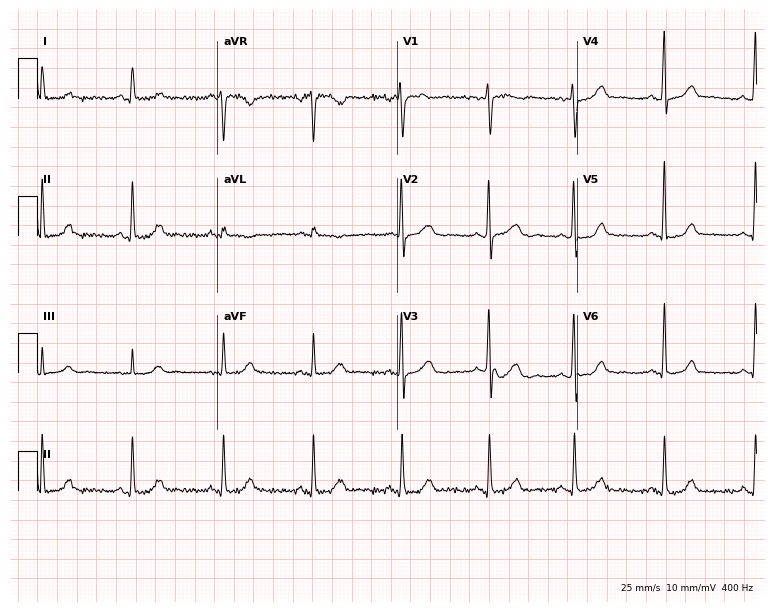
ECG — a female, 34 years old. Screened for six findings — first-degree AV block, right bundle branch block (RBBB), left bundle branch block (LBBB), sinus bradycardia, atrial fibrillation (AF), sinus tachycardia — none is recorded. Findings outside these six are not listed.